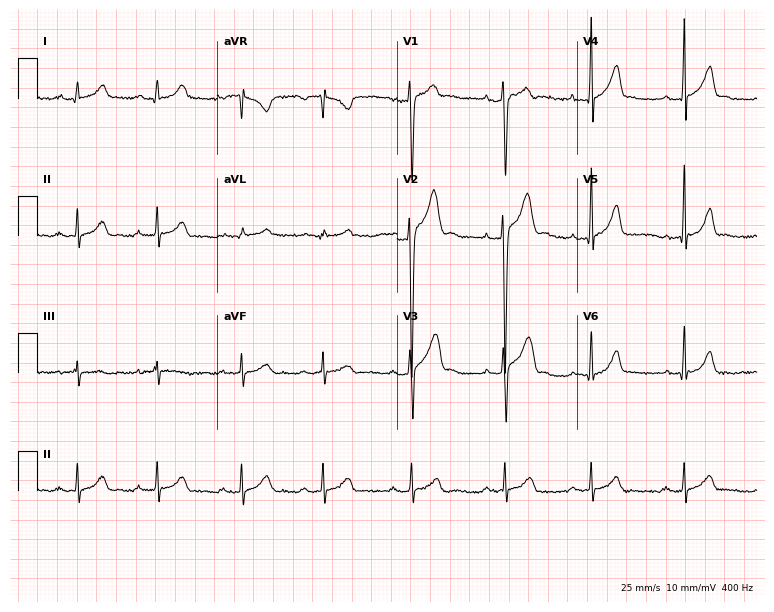
Electrocardiogram, a 17-year-old male. Overall reading on record: normal ECG.